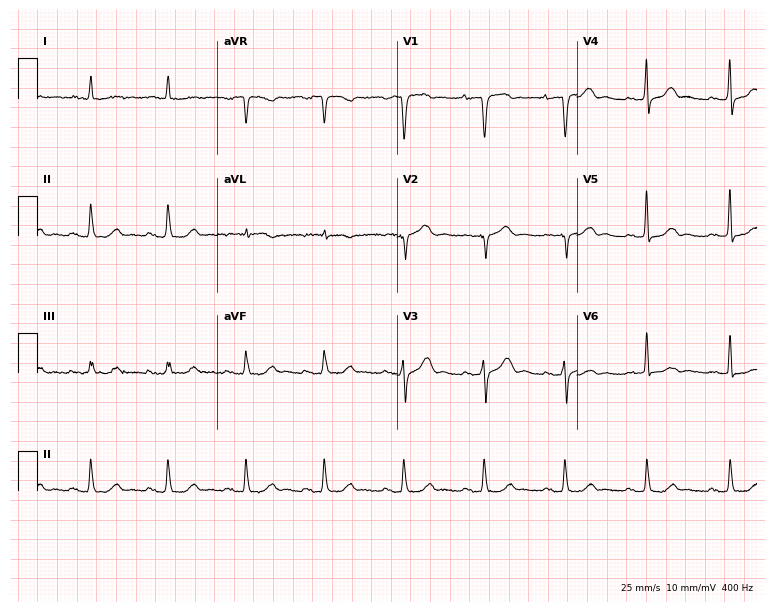
12-lead ECG (7.3-second recording at 400 Hz) from an 81-year-old male. Labelled as a normal ECG.